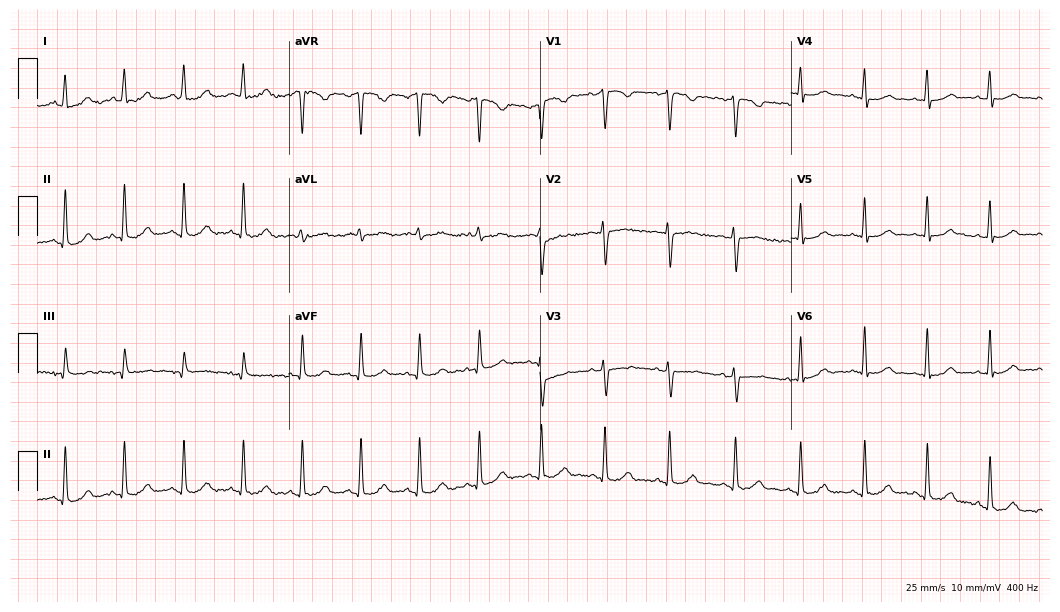
ECG (10.2-second recording at 400 Hz) — a 36-year-old female patient. Labelled as a normal ECG.